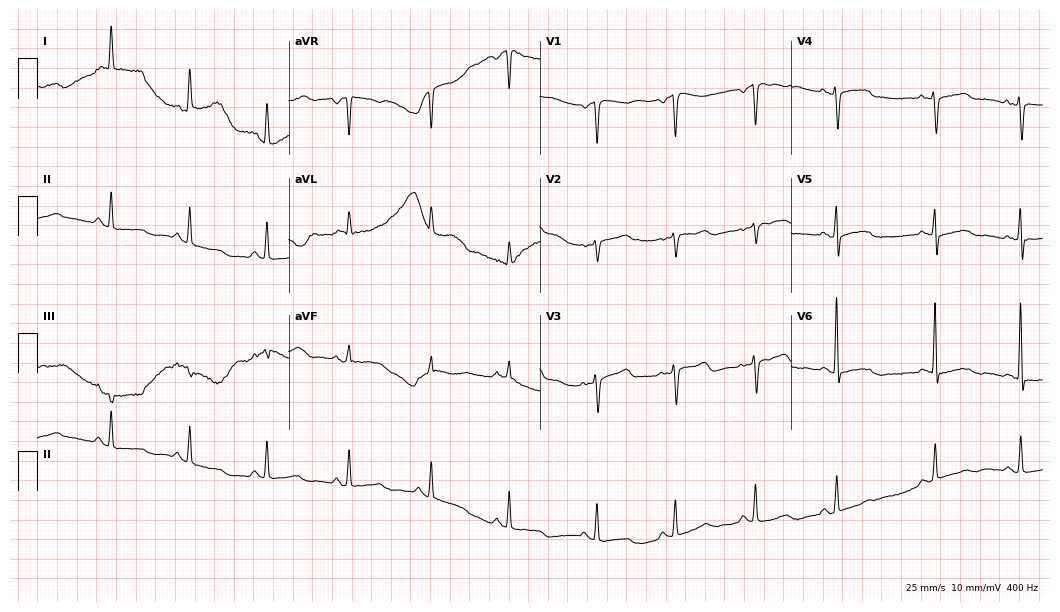
ECG — a 58-year-old female. Labelled as a normal ECG.